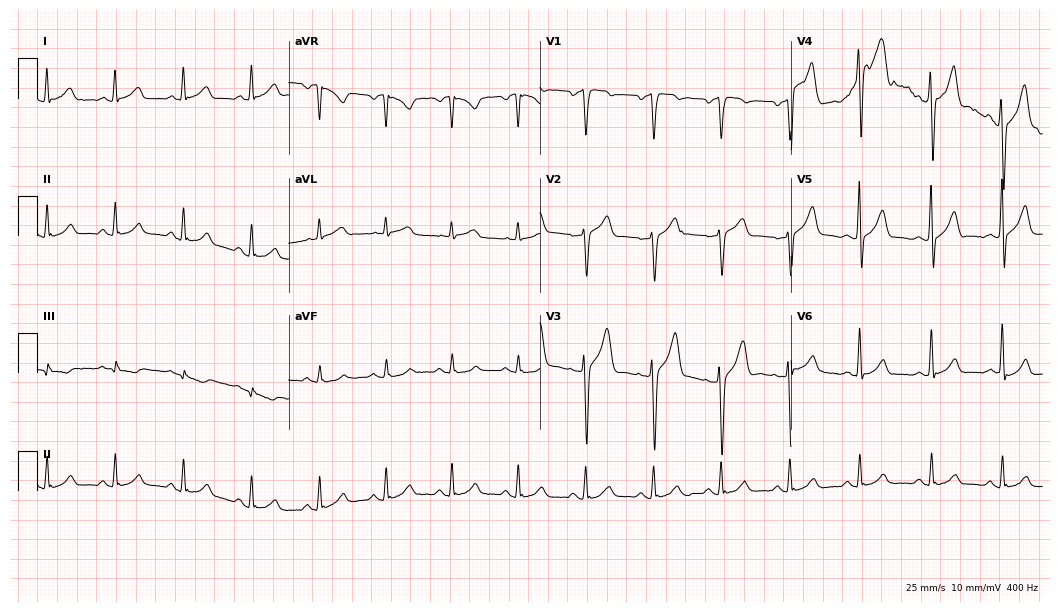
12-lead ECG from a male patient, 38 years old (10.2-second recording at 400 Hz). Recorded interpretation: within normal limits.